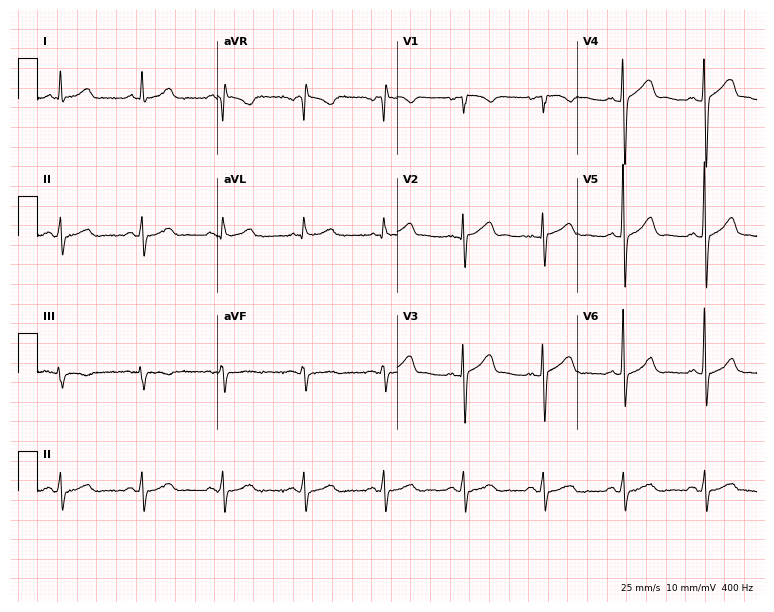
Electrocardiogram (7.3-second recording at 400 Hz), a 58-year-old male patient. Of the six screened findings (first-degree AV block, right bundle branch block, left bundle branch block, sinus bradycardia, atrial fibrillation, sinus tachycardia), none is recorded. Findings outside these six are not listed.